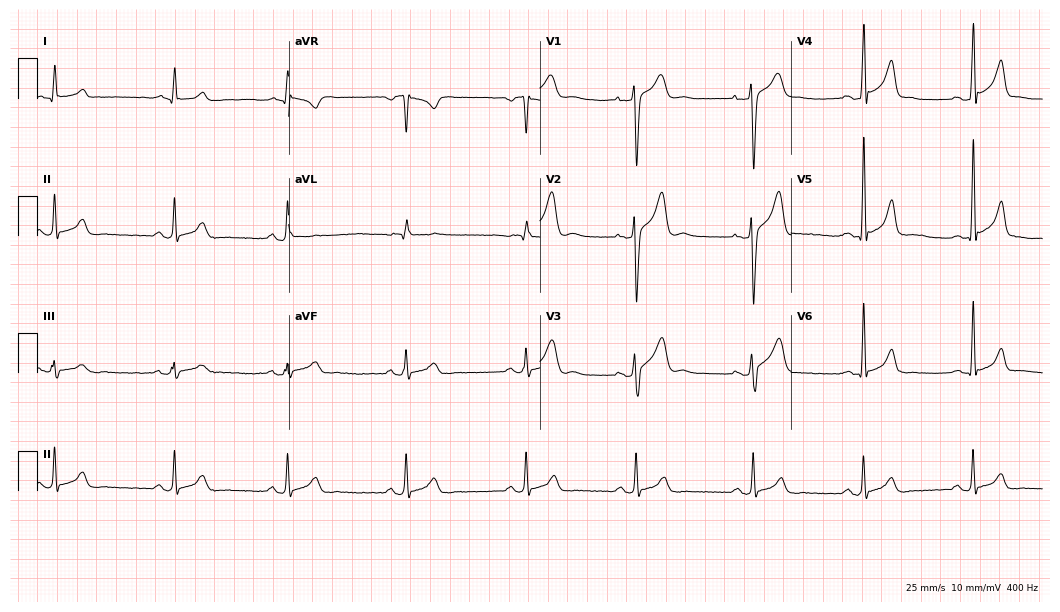
Standard 12-lead ECG recorded from a 23-year-old male patient. Read as a normal ECG.